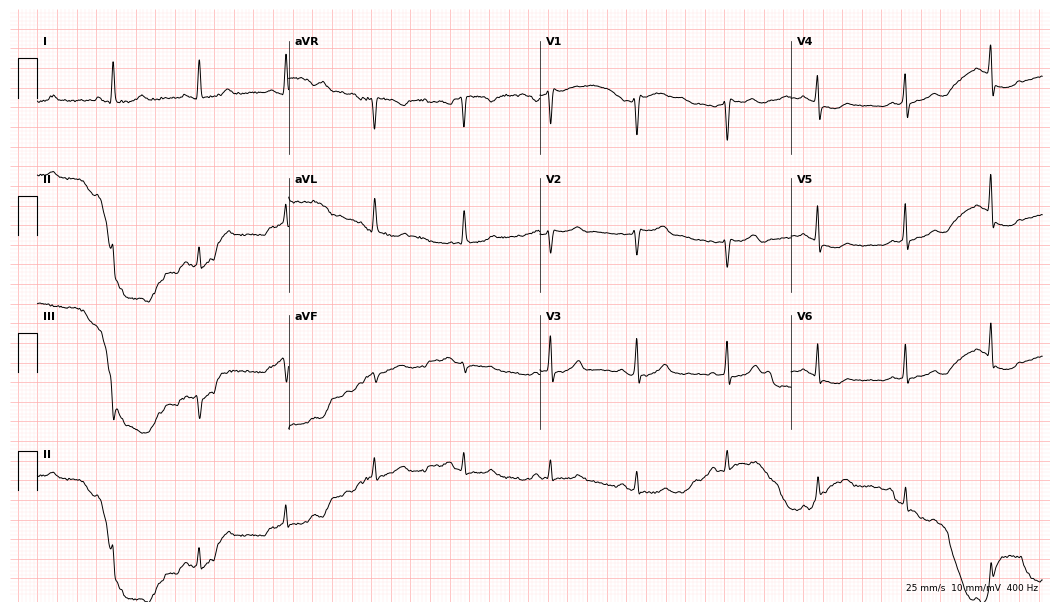
12-lead ECG from a 78-year-old female. No first-degree AV block, right bundle branch block, left bundle branch block, sinus bradycardia, atrial fibrillation or sinus tachycardia recorded for this tracing.